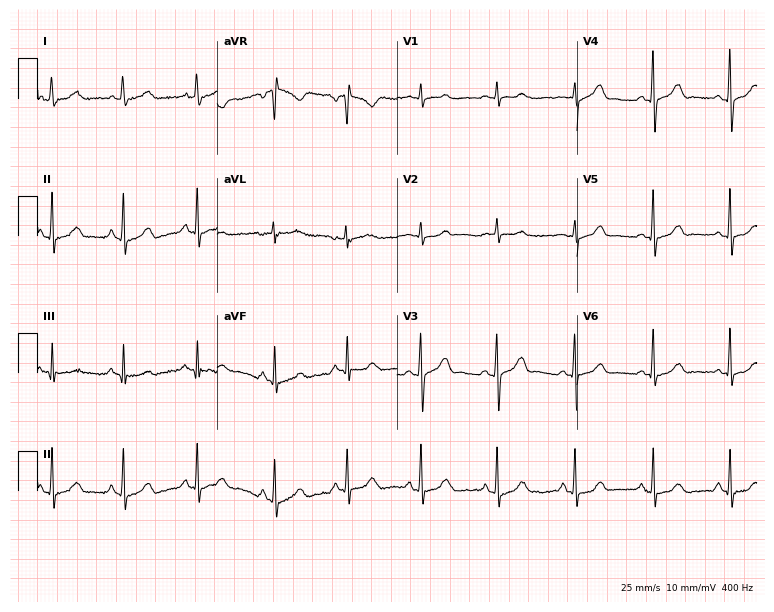
12-lead ECG (7.3-second recording at 400 Hz) from a woman, 25 years old. Labelled as a normal ECG.